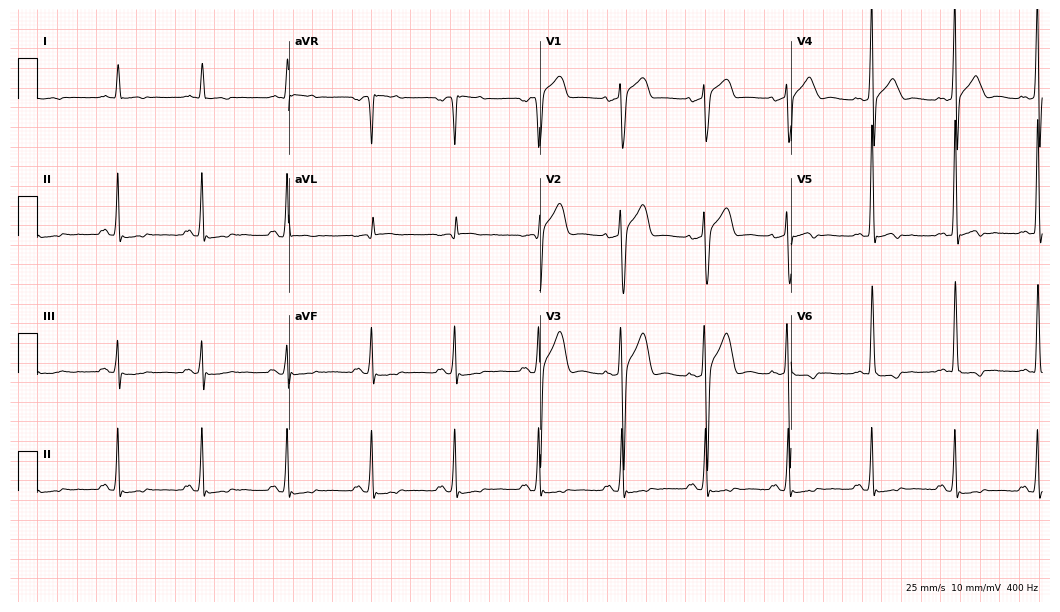
Electrocardiogram, a 63-year-old female patient. Overall reading on record: normal ECG.